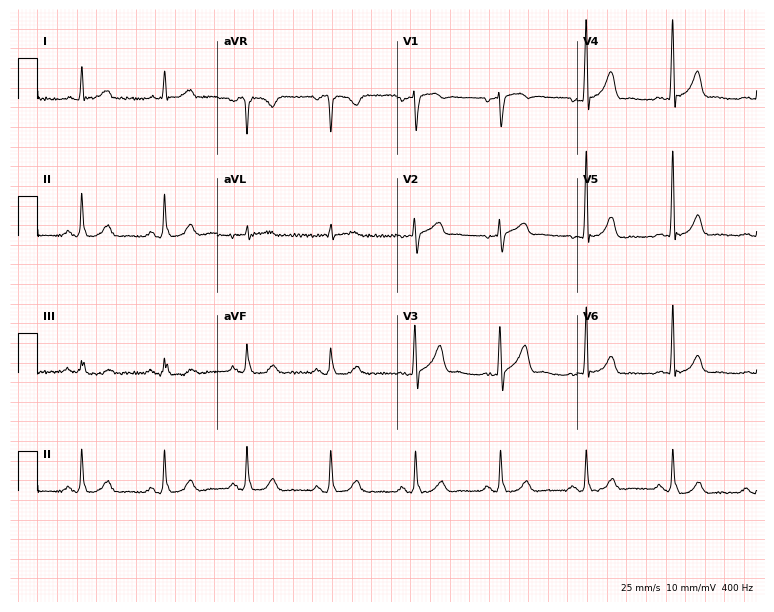
12-lead ECG from a 72-year-old man (7.3-second recording at 400 Hz). Recorded interpretation: within normal limits.